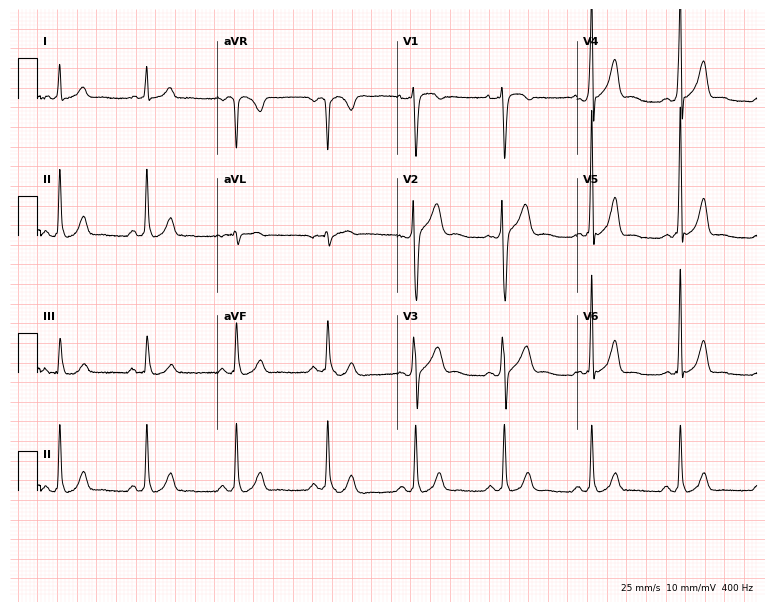
Standard 12-lead ECG recorded from an 18-year-old male. None of these six findings is recorded: first-degree AV block, right bundle branch block, left bundle branch block, sinus bradycardia, atrial fibrillation, sinus tachycardia.